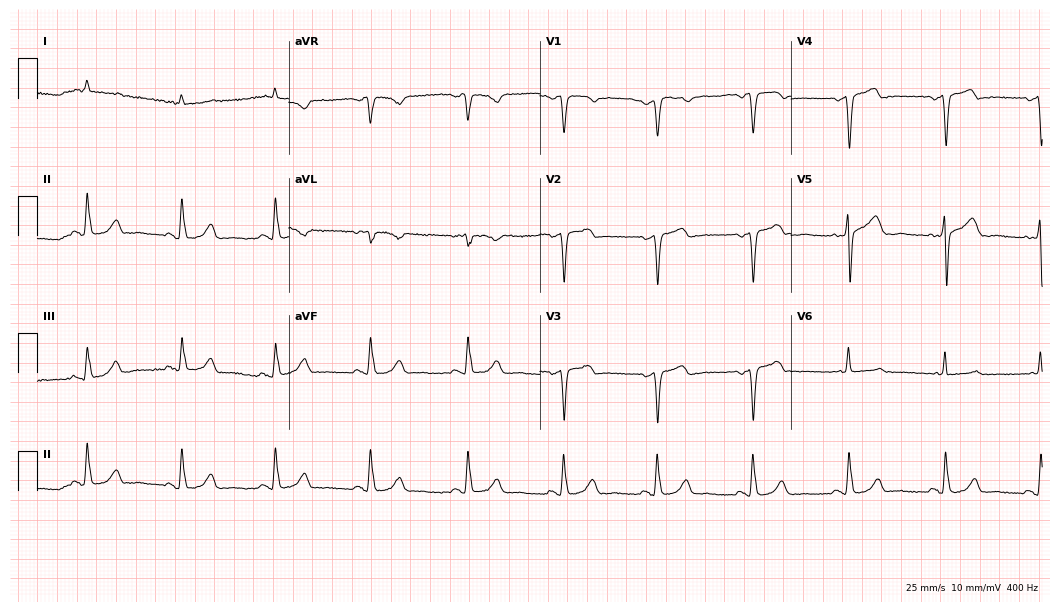
ECG (10.2-second recording at 400 Hz) — a 69-year-old man. Labelled as a normal ECG.